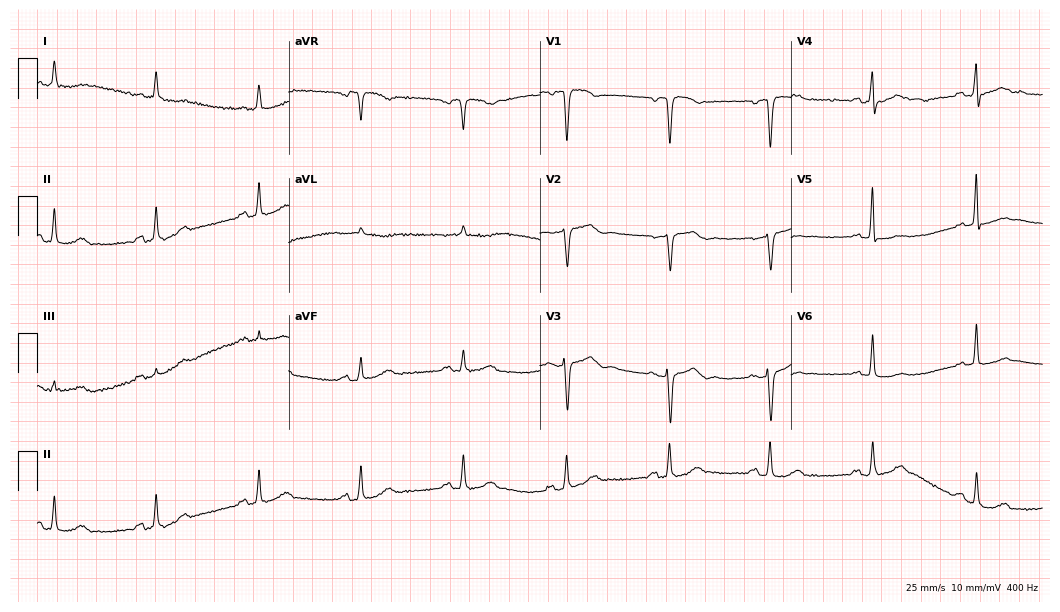
Standard 12-lead ECG recorded from a female, 70 years old. None of these six findings is recorded: first-degree AV block, right bundle branch block, left bundle branch block, sinus bradycardia, atrial fibrillation, sinus tachycardia.